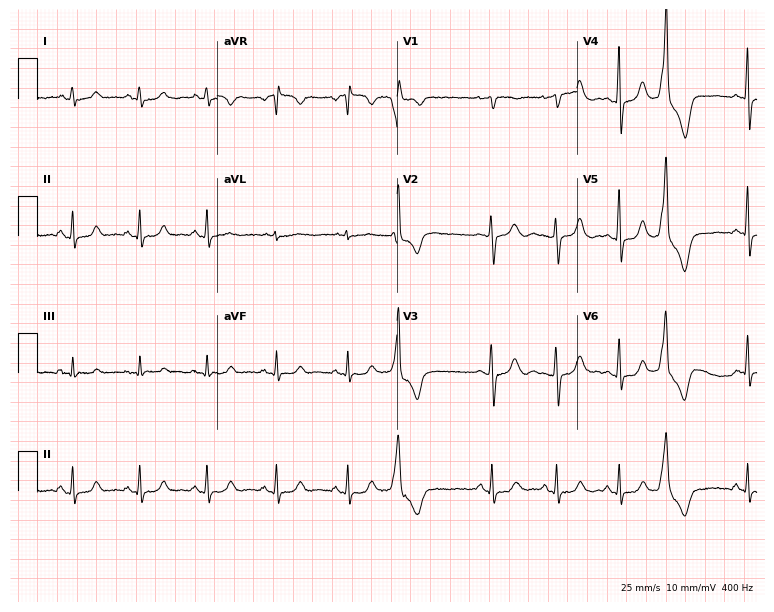
12-lead ECG (7.3-second recording at 400 Hz) from a 53-year-old female. Screened for six findings — first-degree AV block, right bundle branch block (RBBB), left bundle branch block (LBBB), sinus bradycardia, atrial fibrillation (AF), sinus tachycardia — none is recorded.